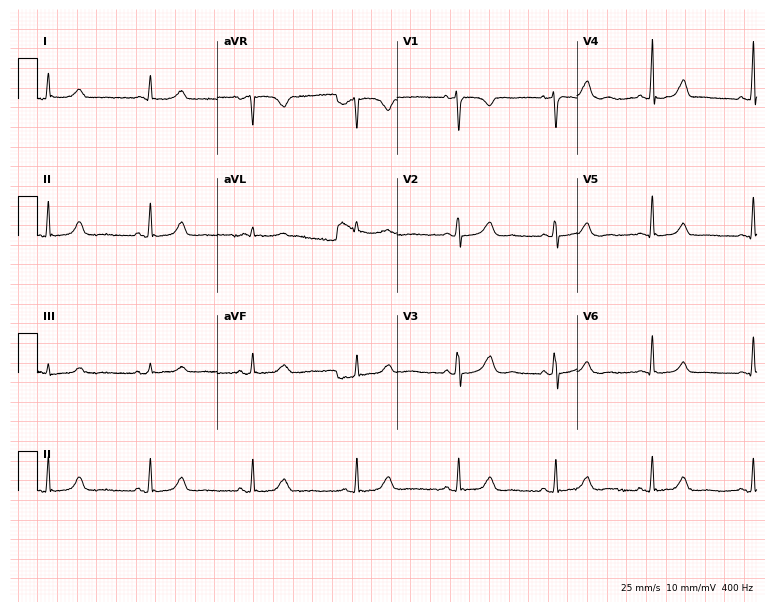
Standard 12-lead ECG recorded from a female, 46 years old. None of these six findings is recorded: first-degree AV block, right bundle branch block, left bundle branch block, sinus bradycardia, atrial fibrillation, sinus tachycardia. Other findings, if any, are not listed.